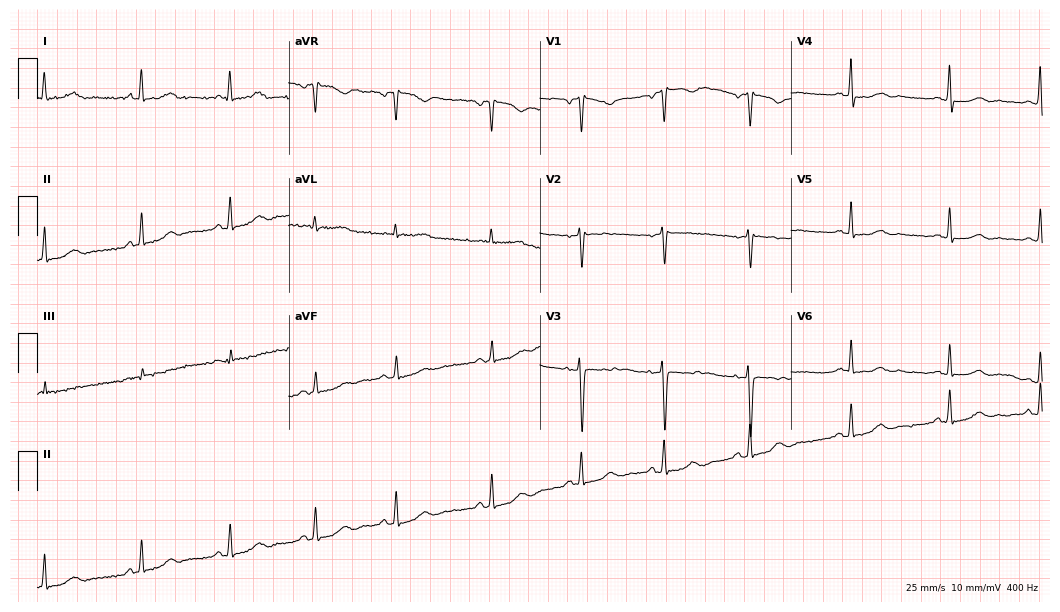
Electrocardiogram (10.2-second recording at 400 Hz), a 52-year-old woman. Overall reading on record: normal ECG.